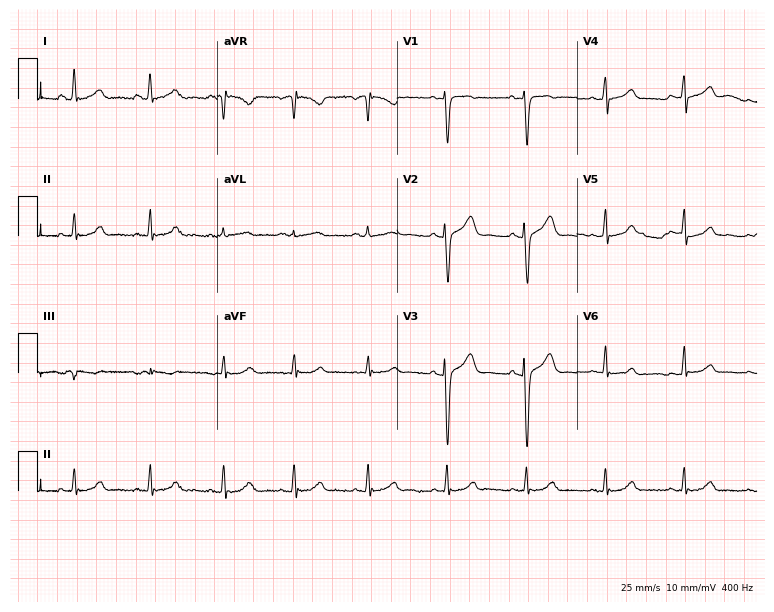
Standard 12-lead ECG recorded from a female, 38 years old (7.3-second recording at 400 Hz). None of these six findings is recorded: first-degree AV block, right bundle branch block, left bundle branch block, sinus bradycardia, atrial fibrillation, sinus tachycardia. Findings outside these six are not listed.